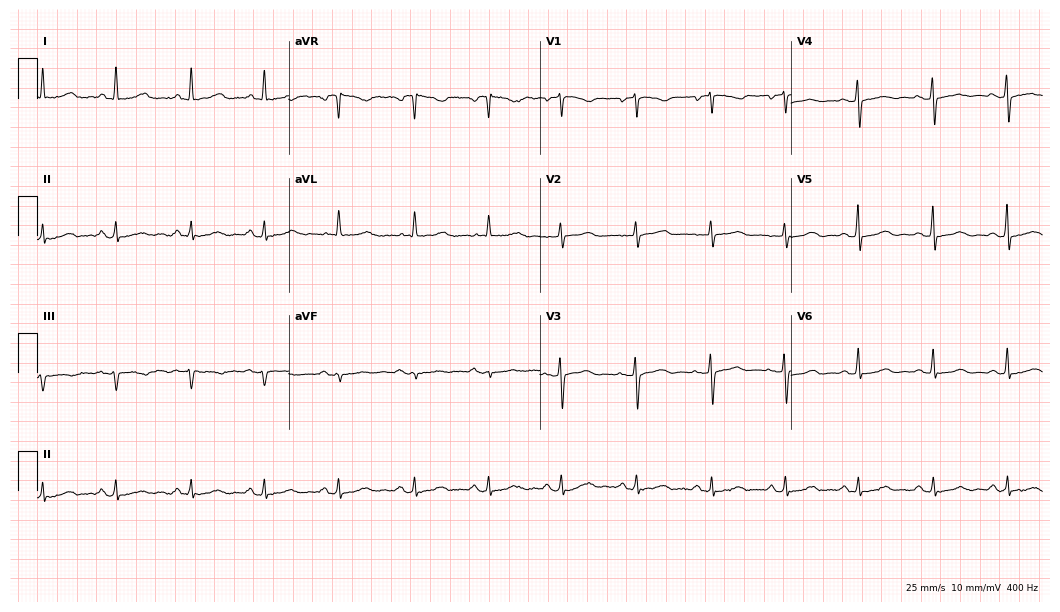
Electrocardiogram, a female patient, 47 years old. Overall reading on record: normal ECG.